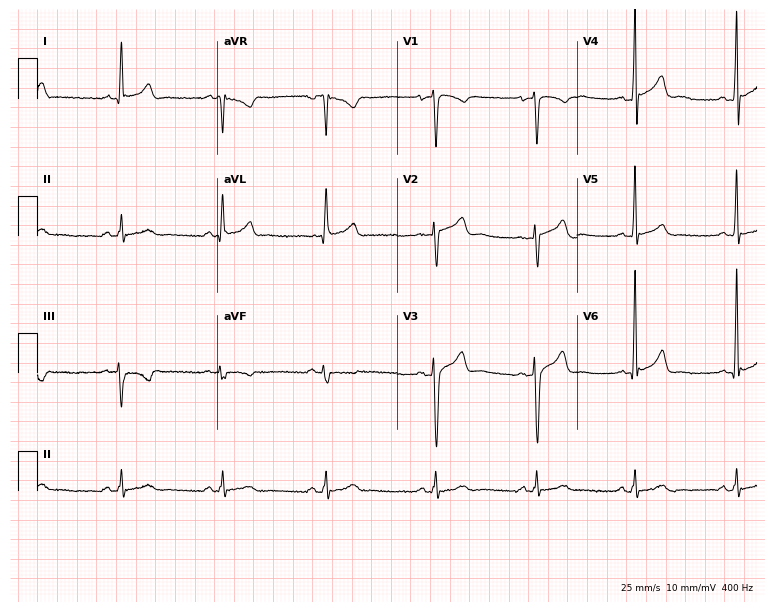
Resting 12-lead electrocardiogram. Patient: a male, 27 years old. None of these six findings is recorded: first-degree AV block, right bundle branch block (RBBB), left bundle branch block (LBBB), sinus bradycardia, atrial fibrillation (AF), sinus tachycardia. Only these six findings were labelled.